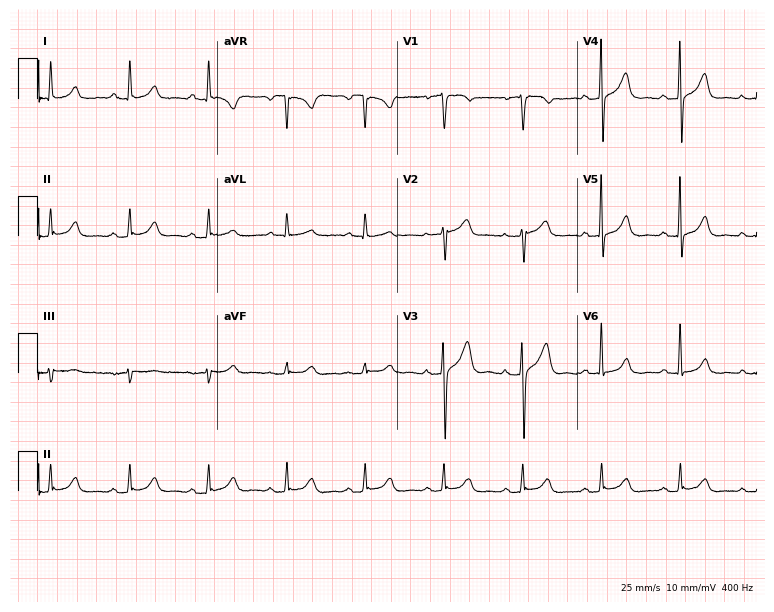
ECG (7.3-second recording at 400 Hz) — a 53-year-old female patient. Labelled as a normal ECG.